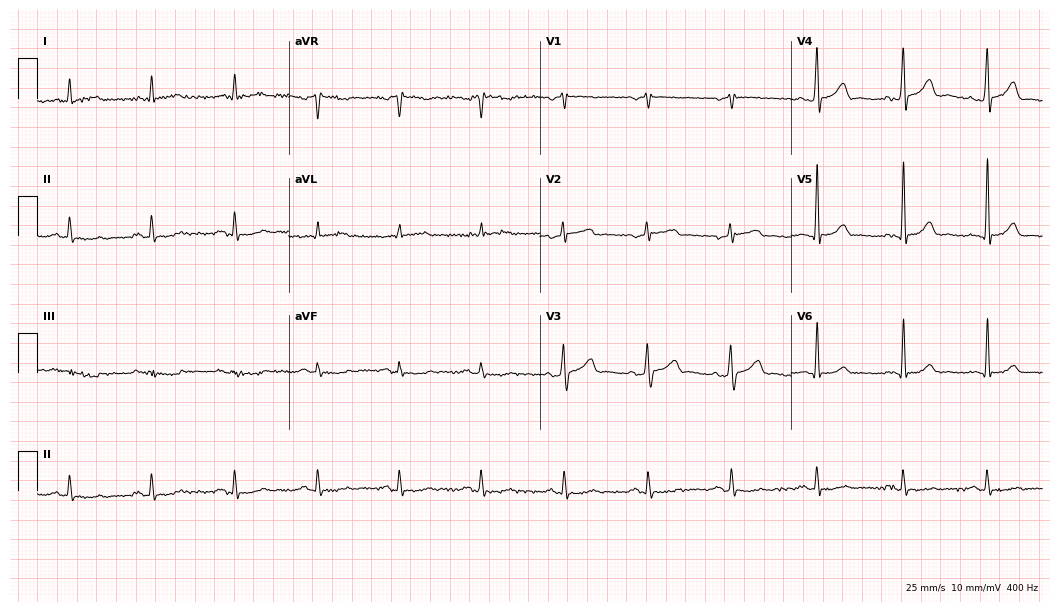
Standard 12-lead ECG recorded from a man, 63 years old. None of these six findings is recorded: first-degree AV block, right bundle branch block, left bundle branch block, sinus bradycardia, atrial fibrillation, sinus tachycardia. Only these six findings were labelled.